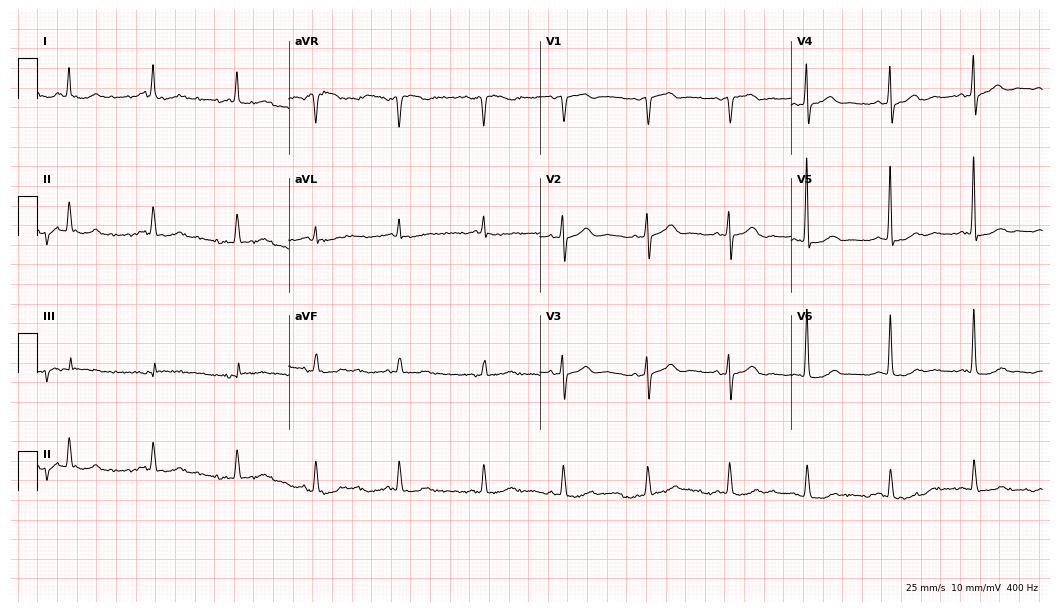
Resting 12-lead electrocardiogram (10.2-second recording at 400 Hz). Patient: a 77-year-old female. None of these six findings is recorded: first-degree AV block, right bundle branch block (RBBB), left bundle branch block (LBBB), sinus bradycardia, atrial fibrillation (AF), sinus tachycardia. Findings outside these six are not listed.